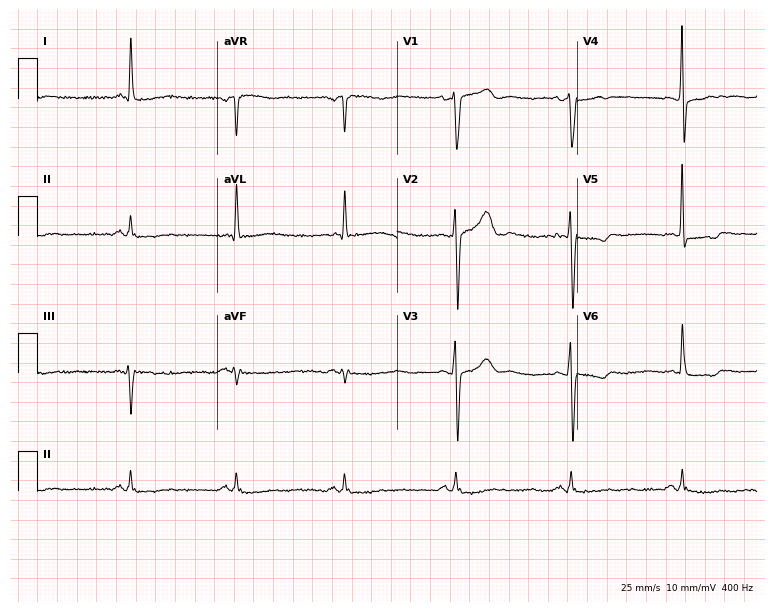
ECG — a 52-year-old male patient. Screened for six findings — first-degree AV block, right bundle branch block, left bundle branch block, sinus bradycardia, atrial fibrillation, sinus tachycardia — none is recorded. Other findings, if any, are not listed.